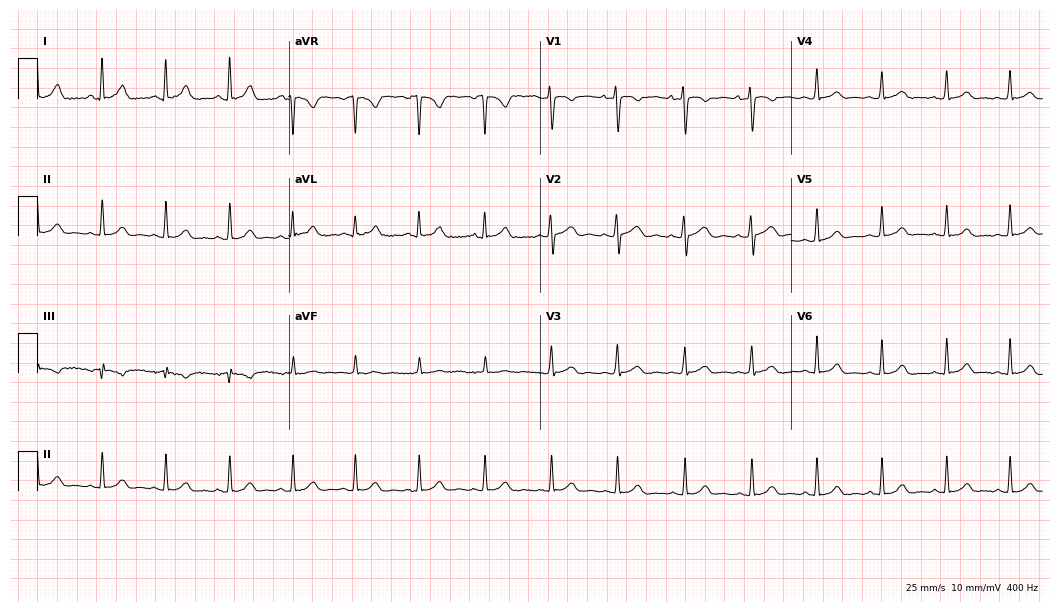
Electrocardiogram (10.2-second recording at 400 Hz), a female patient, 26 years old. Overall reading on record: normal ECG.